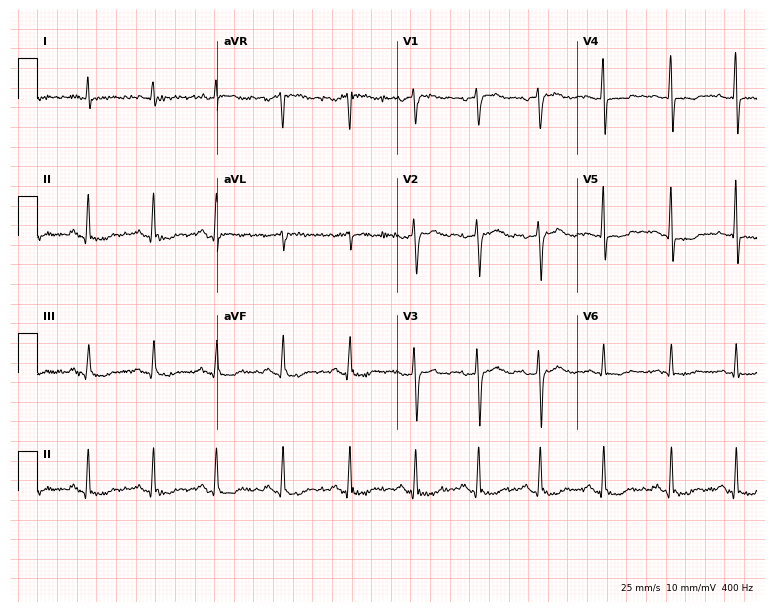
Standard 12-lead ECG recorded from a female, 57 years old (7.3-second recording at 400 Hz). None of these six findings is recorded: first-degree AV block, right bundle branch block, left bundle branch block, sinus bradycardia, atrial fibrillation, sinus tachycardia. Only these six findings were labelled.